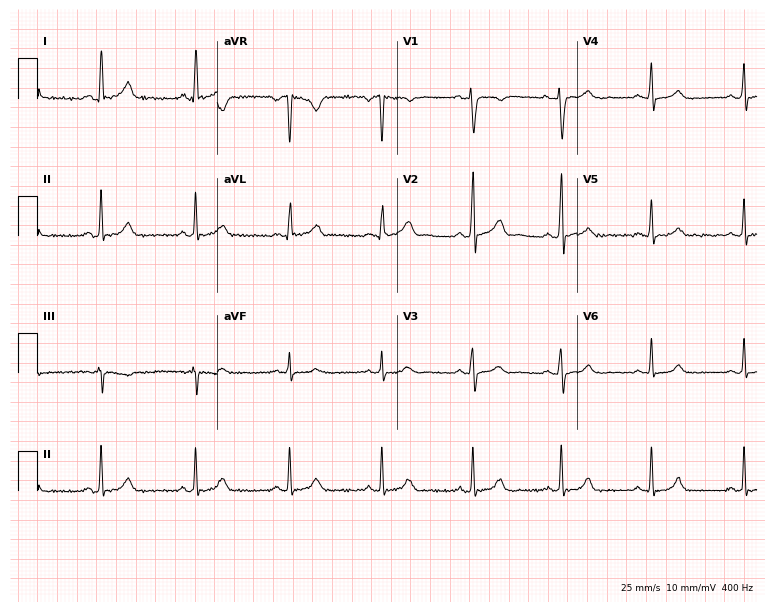
ECG — a man, 25 years old. Labelled as a normal ECG.